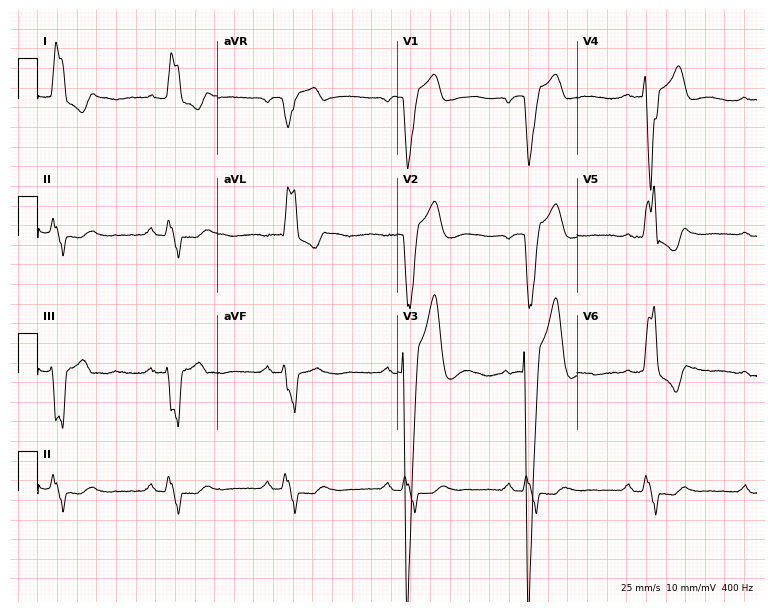
12-lead ECG from a female patient, 77 years old. Shows left bundle branch block (LBBB), sinus bradycardia (a sinus rate of 50 beats per minute or less).